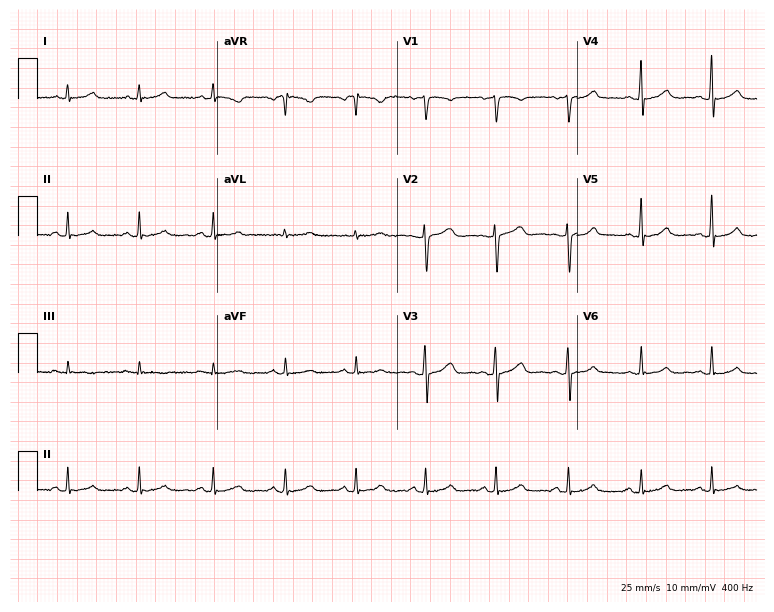
ECG (7.3-second recording at 400 Hz) — a 41-year-old female patient. Screened for six findings — first-degree AV block, right bundle branch block, left bundle branch block, sinus bradycardia, atrial fibrillation, sinus tachycardia — none is recorded. Findings outside these six are not listed.